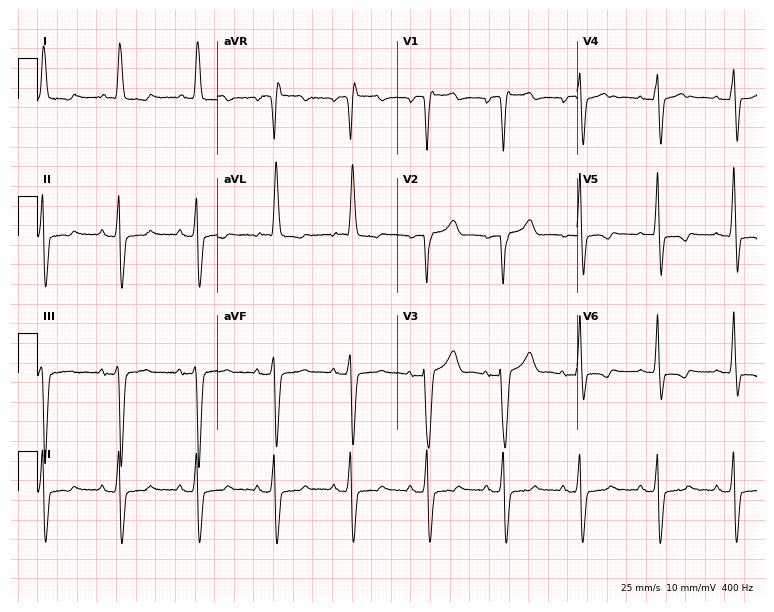
Resting 12-lead electrocardiogram. Patient: an 81-year-old female. None of these six findings is recorded: first-degree AV block, right bundle branch block, left bundle branch block, sinus bradycardia, atrial fibrillation, sinus tachycardia. Only these six findings were labelled.